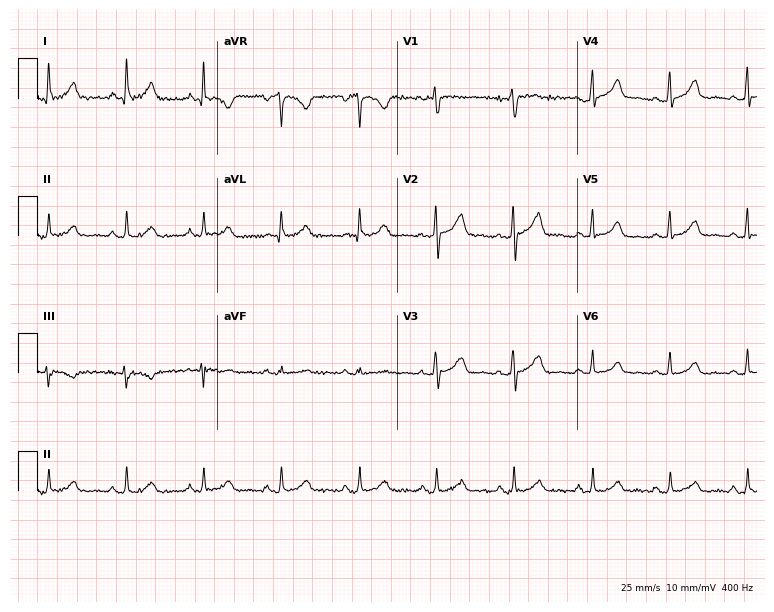
ECG (7.3-second recording at 400 Hz) — a 53-year-old female. Labelled as a normal ECG.